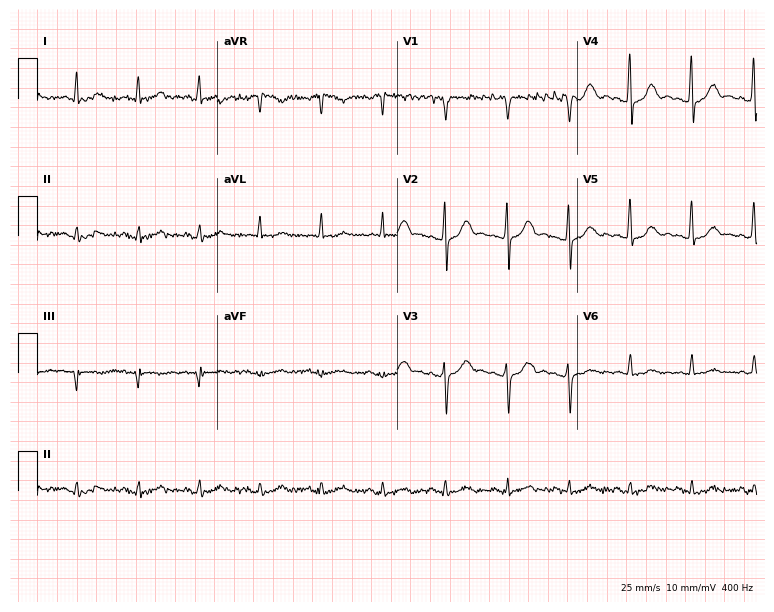
Resting 12-lead electrocardiogram (7.3-second recording at 400 Hz). Patient: a male, 56 years old. None of these six findings is recorded: first-degree AV block, right bundle branch block (RBBB), left bundle branch block (LBBB), sinus bradycardia, atrial fibrillation (AF), sinus tachycardia.